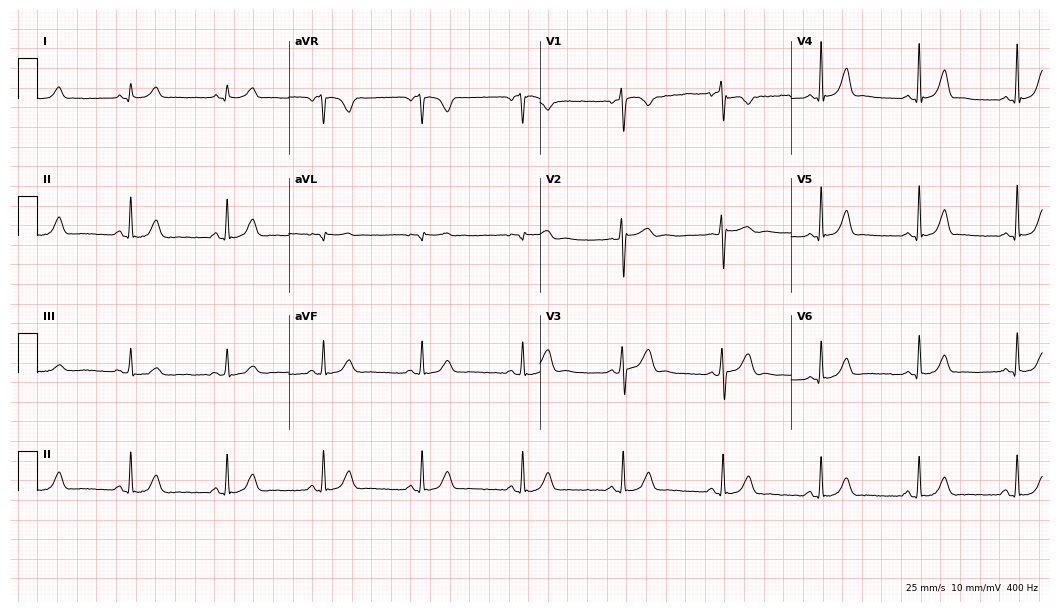
Electrocardiogram, a 49-year-old woman. Overall reading on record: normal ECG.